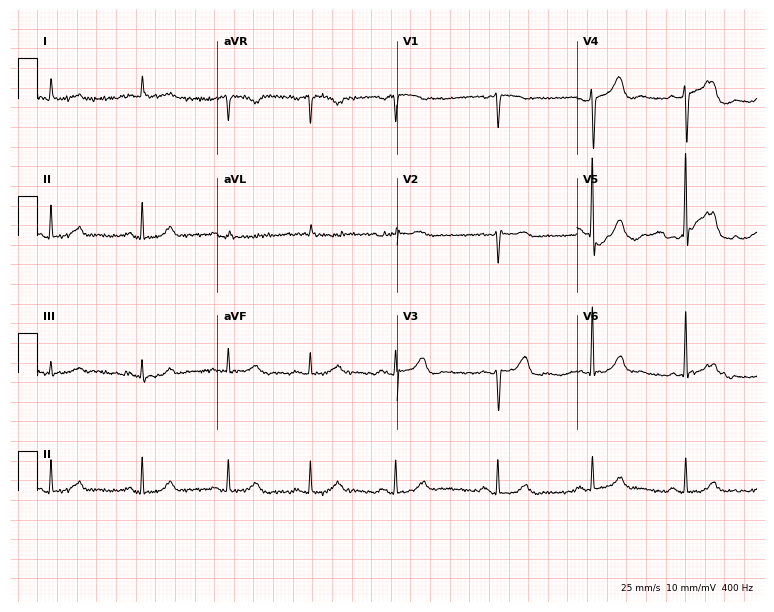
ECG (7.3-second recording at 400 Hz) — a female patient, 81 years old. Screened for six findings — first-degree AV block, right bundle branch block, left bundle branch block, sinus bradycardia, atrial fibrillation, sinus tachycardia — none is recorded. Findings outside these six are not listed.